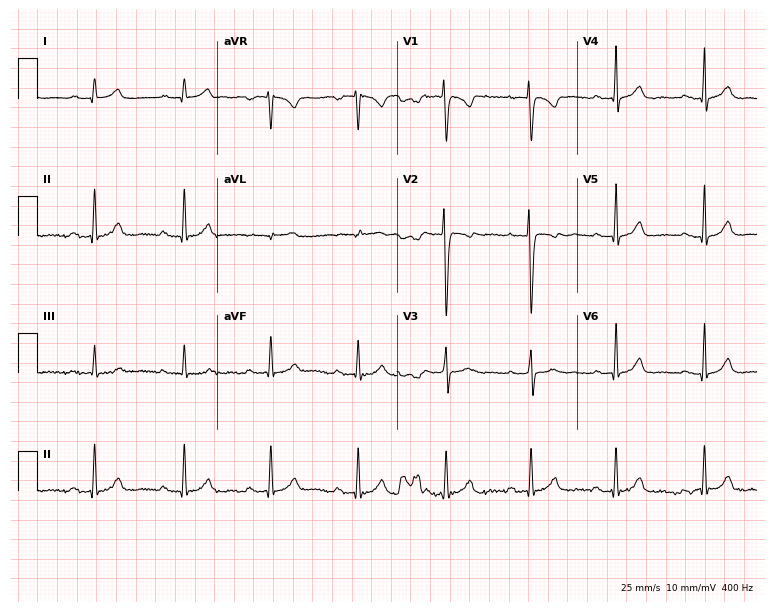
Resting 12-lead electrocardiogram (7.3-second recording at 400 Hz). Patient: a 20-year-old female. Read as a normal ECG.